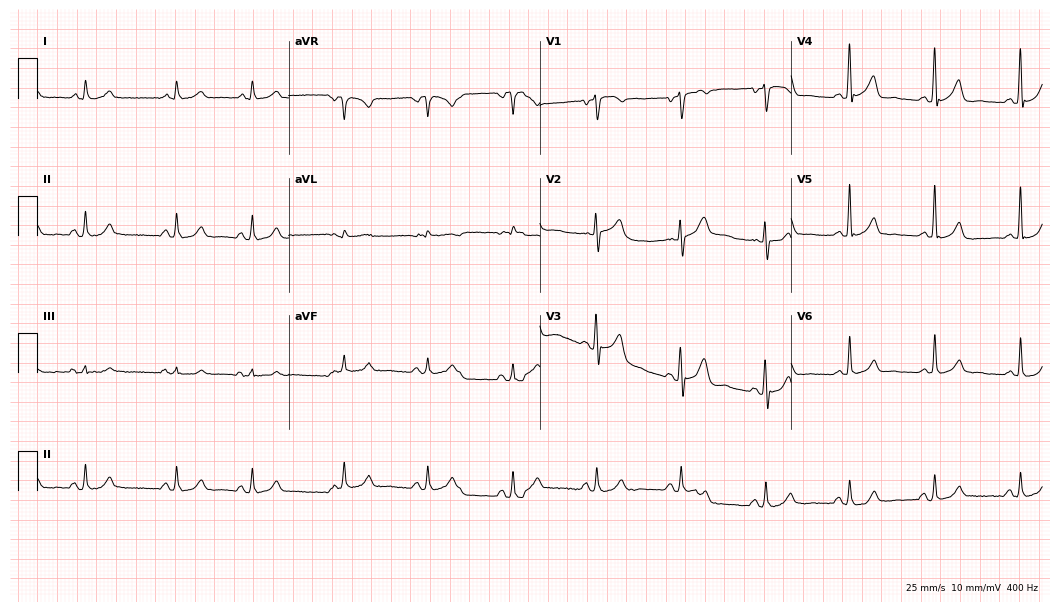
ECG (10.2-second recording at 400 Hz) — a male, 67 years old. Labelled as a normal ECG.